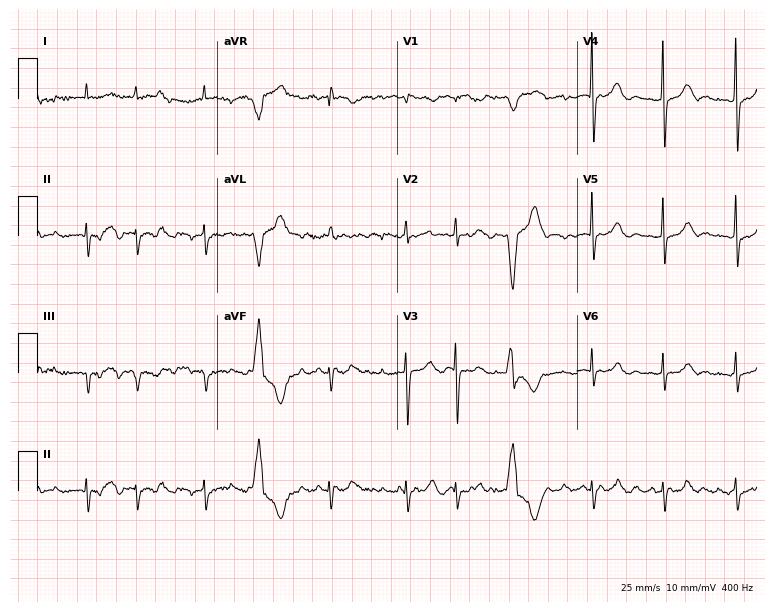
Electrocardiogram, an 82-year-old female. Interpretation includes atrial fibrillation.